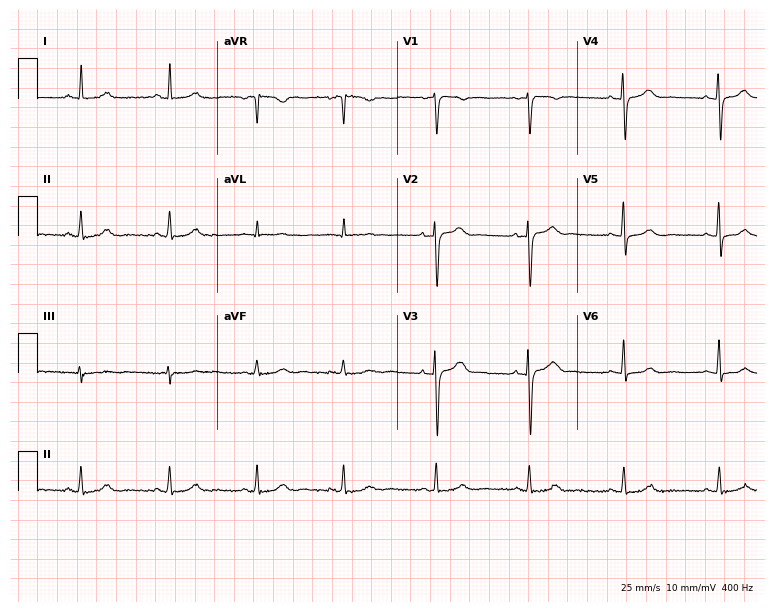
12-lead ECG from a 51-year-old female. Recorded interpretation: within normal limits.